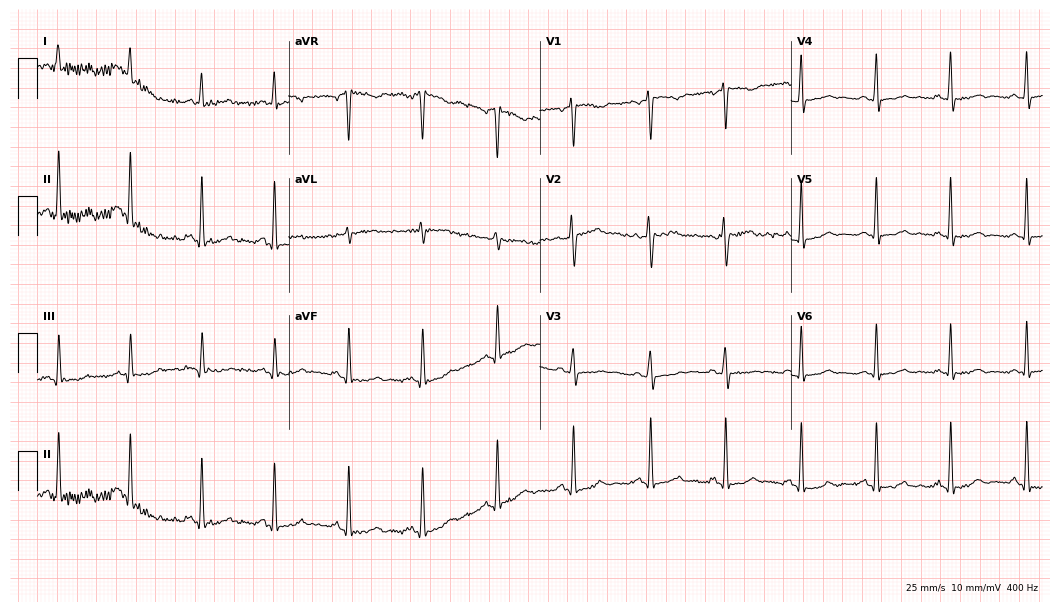
Standard 12-lead ECG recorded from a female, 35 years old (10.2-second recording at 400 Hz). None of these six findings is recorded: first-degree AV block, right bundle branch block (RBBB), left bundle branch block (LBBB), sinus bradycardia, atrial fibrillation (AF), sinus tachycardia.